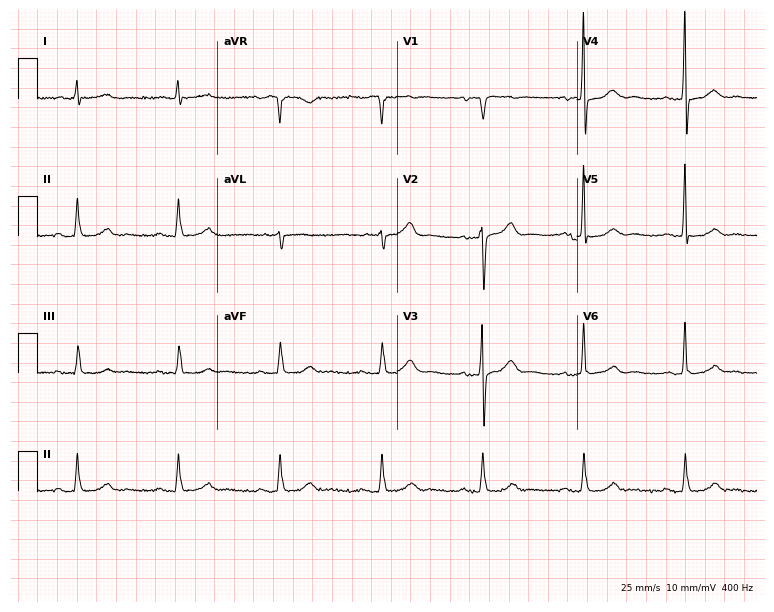
Electrocardiogram, a 75-year-old man. Of the six screened findings (first-degree AV block, right bundle branch block, left bundle branch block, sinus bradycardia, atrial fibrillation, sinus tachycardia), none is recorded.